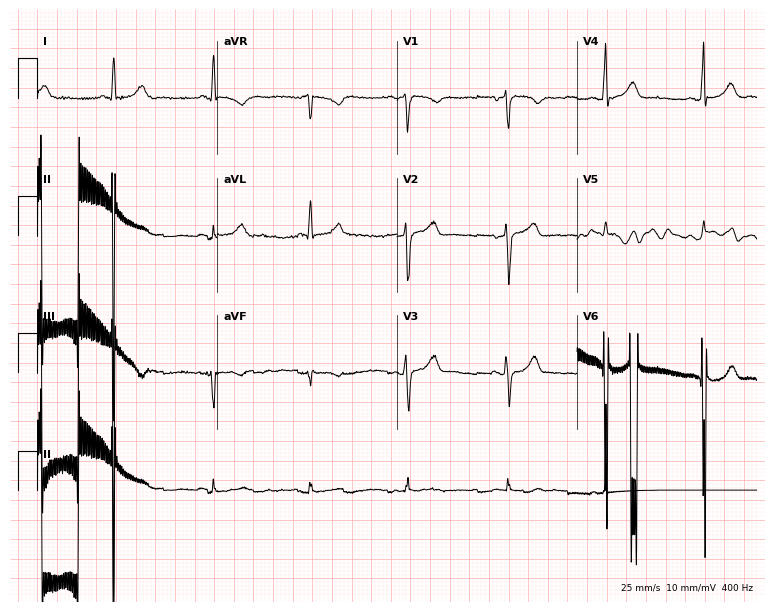
Standard 12-lead ECG recorded from a man, 44 years old. None of these six findings is recorded: first-degree AV block, right bundle branch block, left bundle branch block, sinus bradycardia, atrial fibrillation, sinus tachycardia. Only these six findings were labelled.